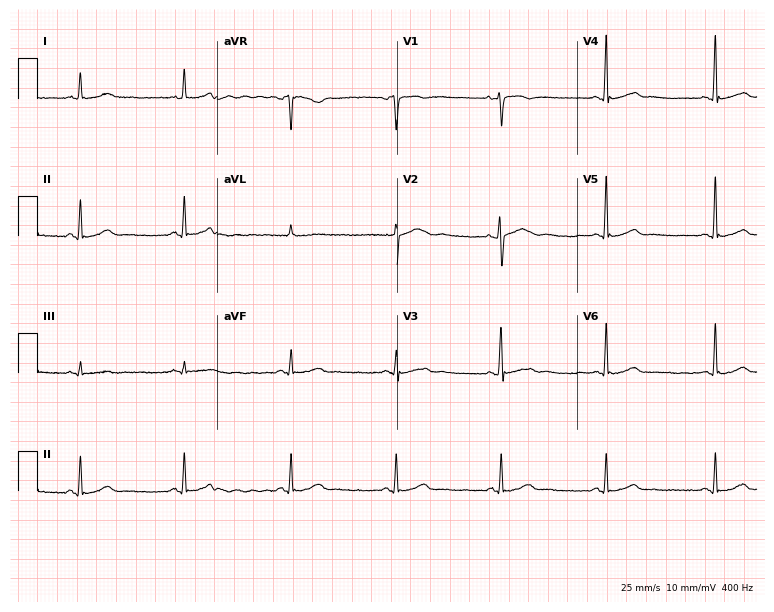
12-lead ECG (7.3-second recording at 400 Hz) from a female, 42 years old. Screened for six findings — first-degree AV block, right bundle branch block, left bundle branch block, sinus bradycardia, atrial fibrillation, sinus tachycardia — none is recorded. Other findings, if any, are not listed.